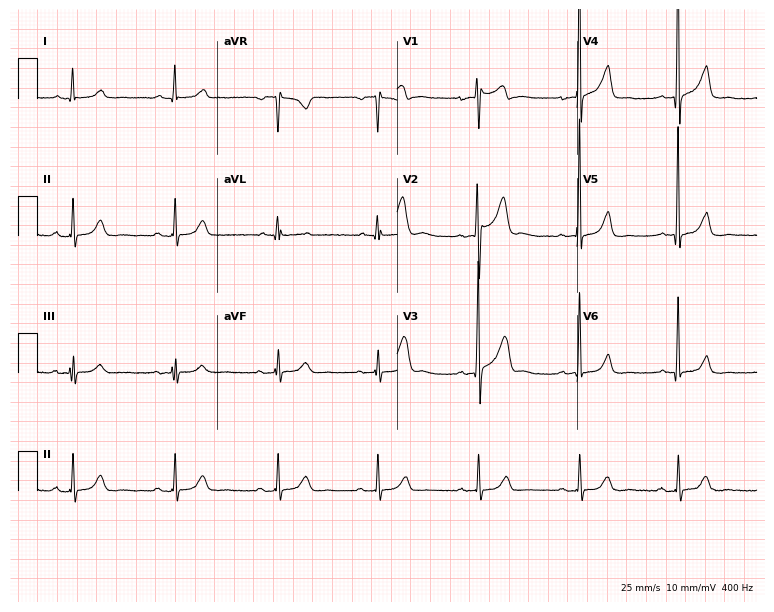
ECG (7.3-second recording at 400 Hz) — a 48-year-old man. Labelled as a normal ECG.